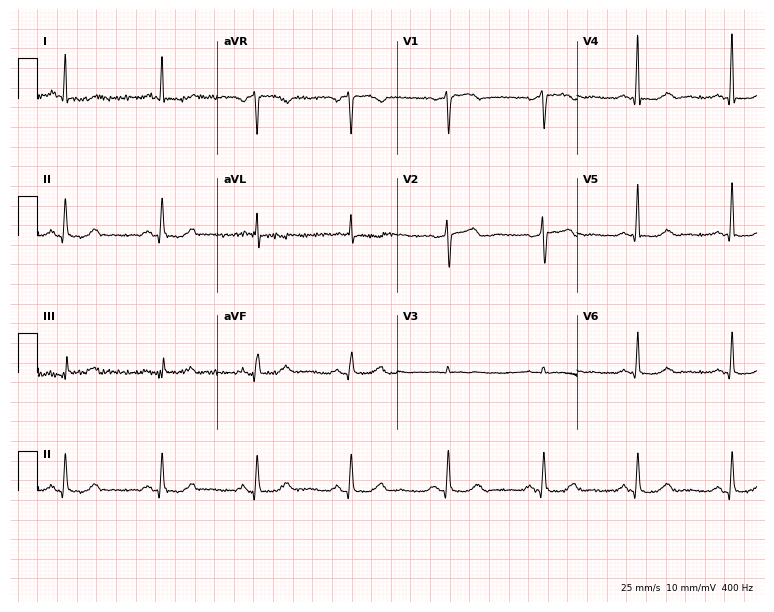
ECG (7.3-second recording at 400 Hz) — a 62-year-old female. Screened for six findings — first-degree AV block, right bundle branch block, left bundle branch block, sinus bradycardia, atrial fibrillation, sinus tachycardia — none is recorded.